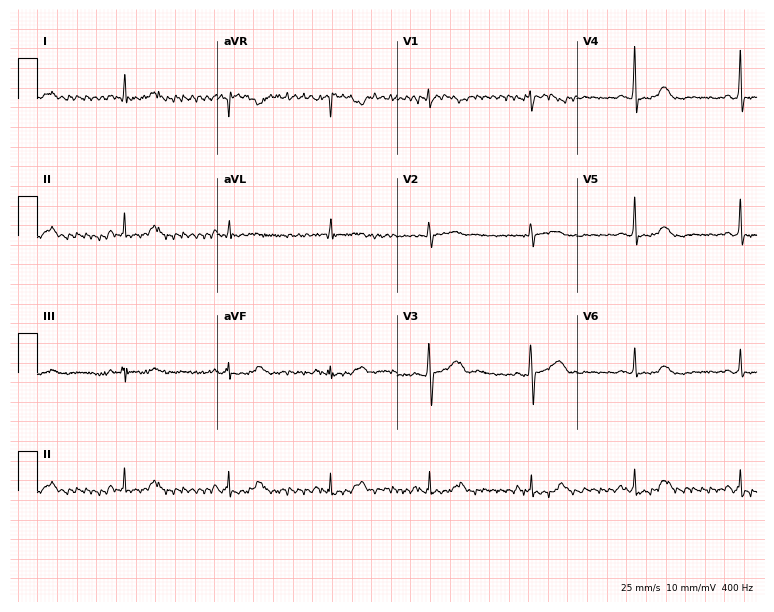
Electrocardiogram, a 47-year-old woman. Overall reading on record: normal ECG.